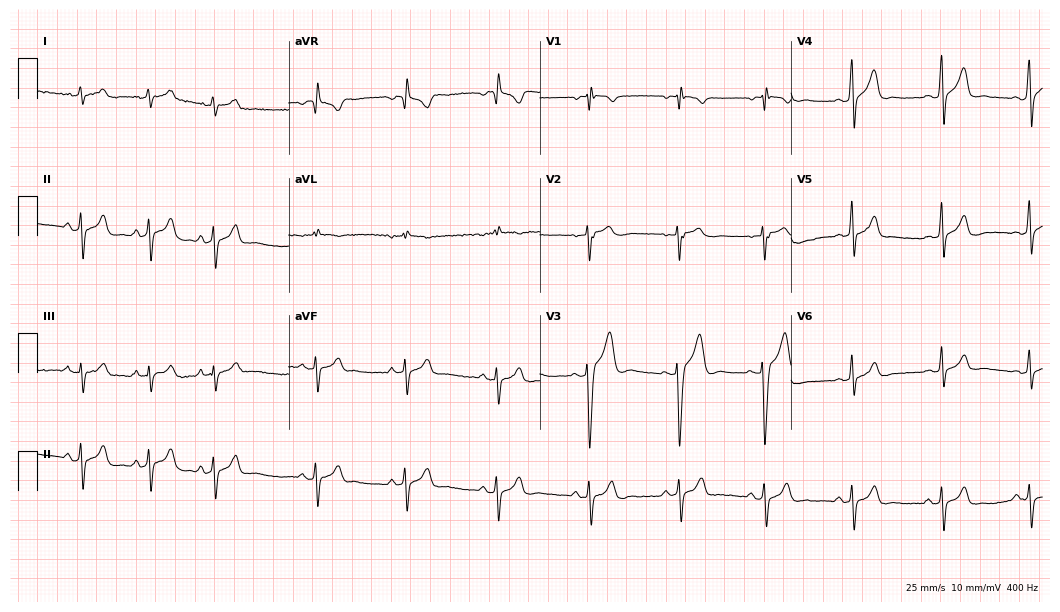
Standard 12-lead ECG recorded from a male patient, 23 years old (10.2-second recording at 400 Hz). Read as a normal ECG.